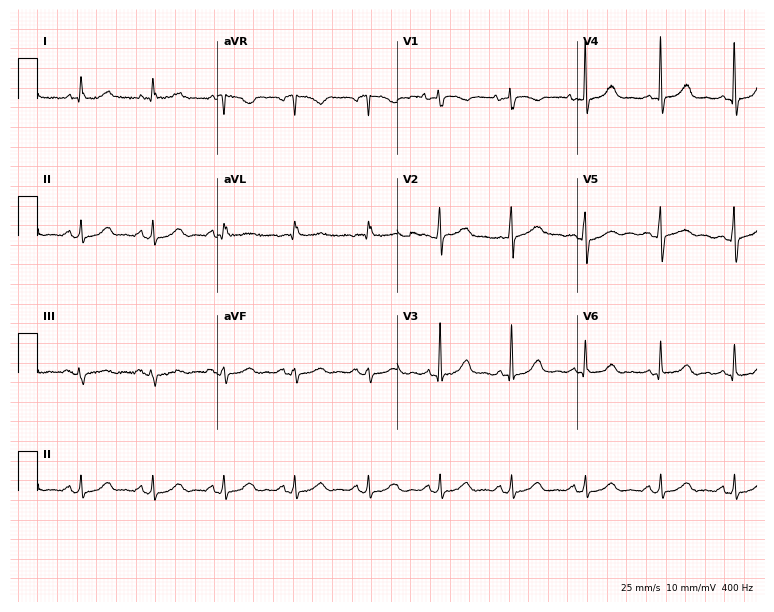
12-lead ECG from a 58-year-old female. Recorded interpretation: within normal limits.